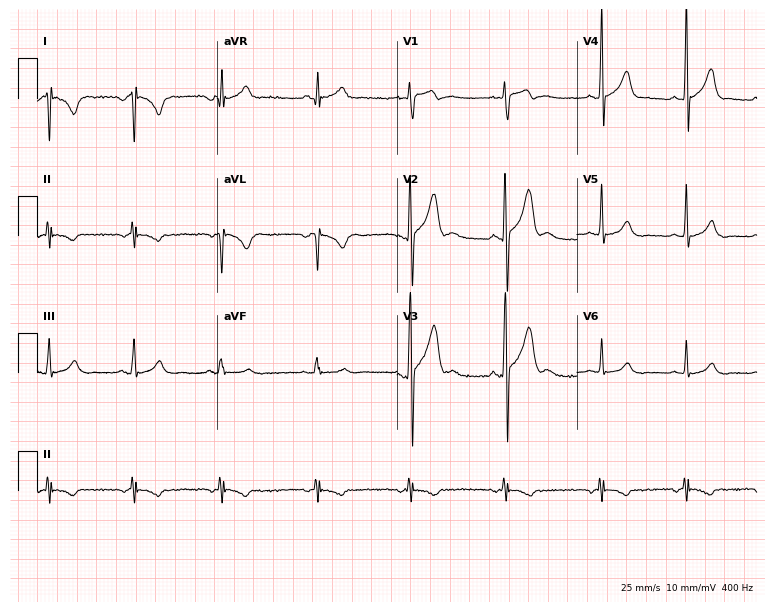
12-lead ECG (7.3-second recording at 400 Hz) from a 30-year-old male patient. Screened for six findings — first-degree AV block, right bundle branch block, left bundle branch block, sinus bradycardia, atrial fibrillation, sinus tachycardia — none is recorded.